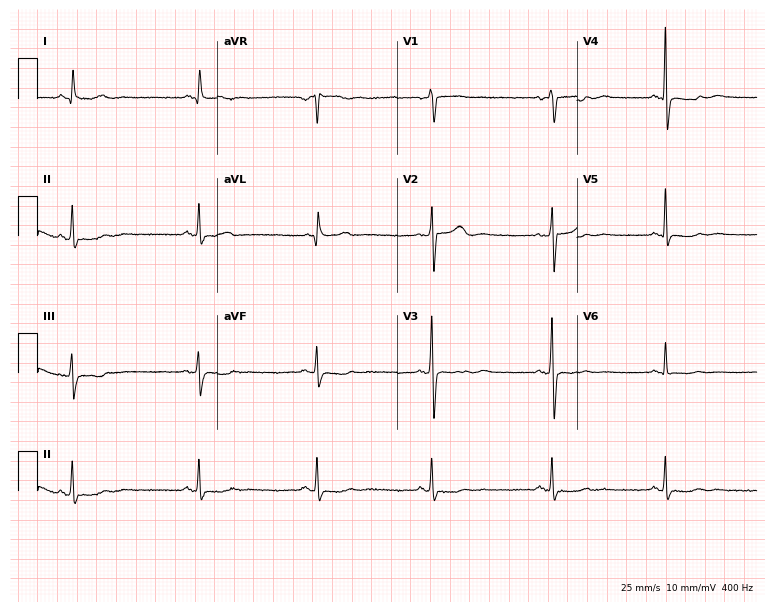
ECG (7.3-second recording at 400 Hz) — a female, 76 years old. Screened for six findings — first-degree AV block, right bundle branch block (RBBB), left bundle branch block (LBBB), sinus bradycardia, atrial fibrillation (AF), sinus tachycardia — none is recorded.